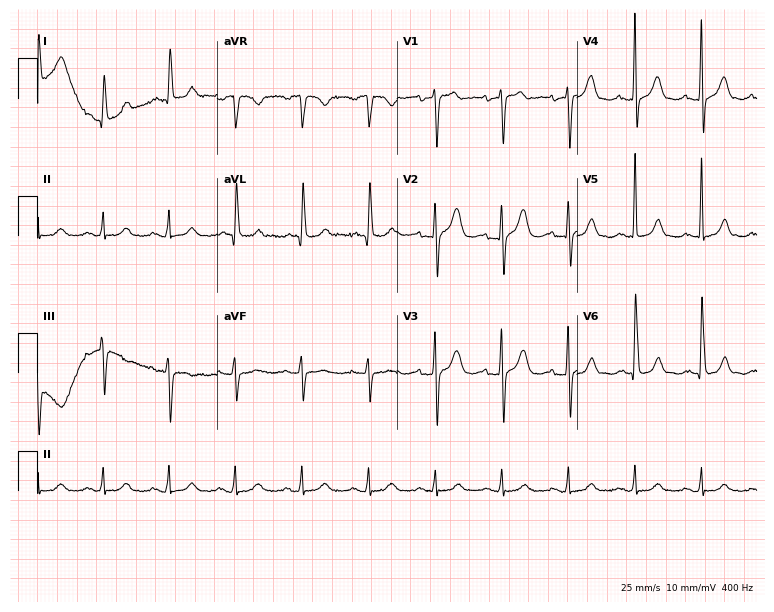
ECG (7.3-second recording at 400 Hz) — an 83-year-old woman. Labelled as a normal ECG.